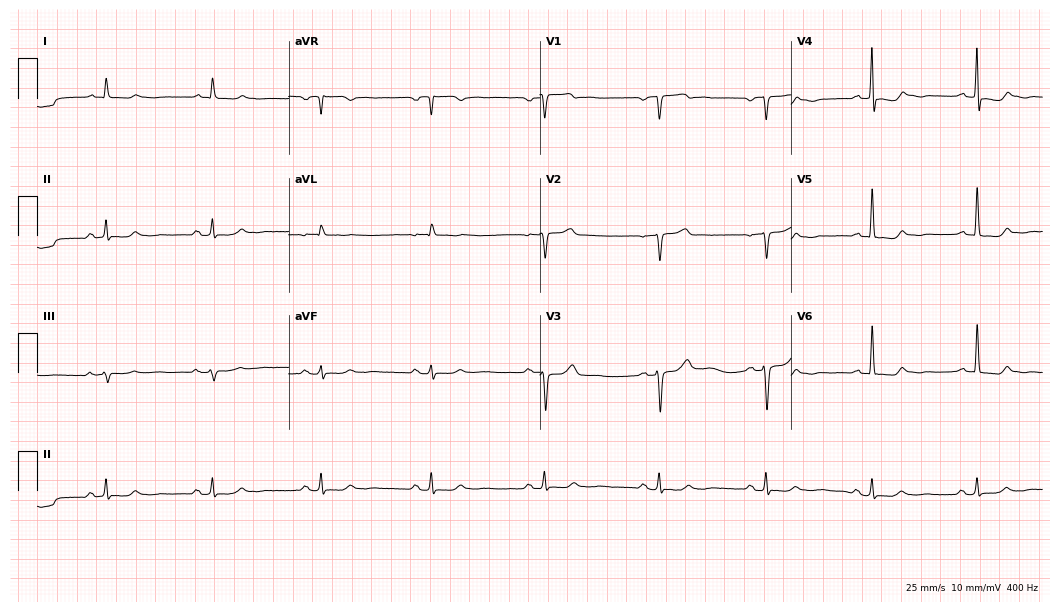
12-lead ECG from a 69-year-old male patient (10.2-second recording at 400 Hz). No first-degree AV block, right bundle branch block (RBBB), left bundle branch block (LBBB), sinus bradycardia, atrial fibrillation (AF) or sinus tachycardia recorded for this tracing. Only these six findings were labelled.